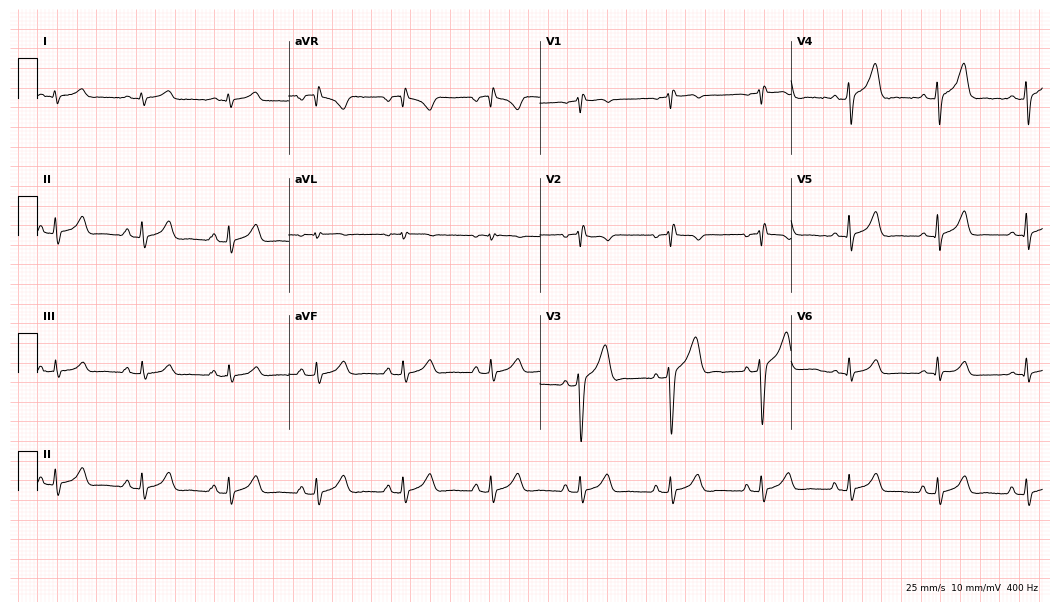
Standard 12-lead ECG recorded from a 28-year-old man. None of these six findings is recorded: first-degree AV block, right bundle branch block, left bundle branch block, sinus bradycardia, atrial fibrillation, sinus tachycardia. Other findings, if any, are not listed.